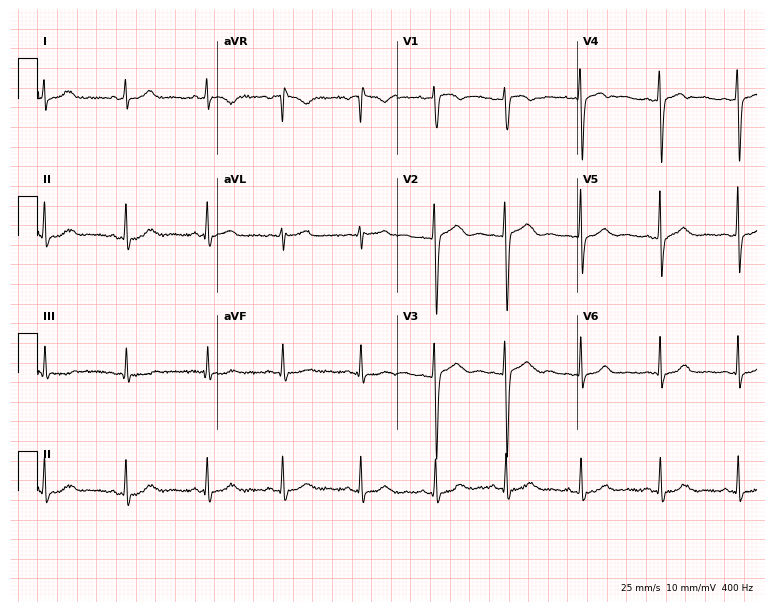
Resting 12-lead electrocardiogram (7.3-second recording at 400 Hz). Patient: a 27-year-old female. None of these six findings is recorded: first-degree AV block, right bundle branch block, left bundle branch block, sinus bradycardia, atrial fibrillation, sinus tachycardia.